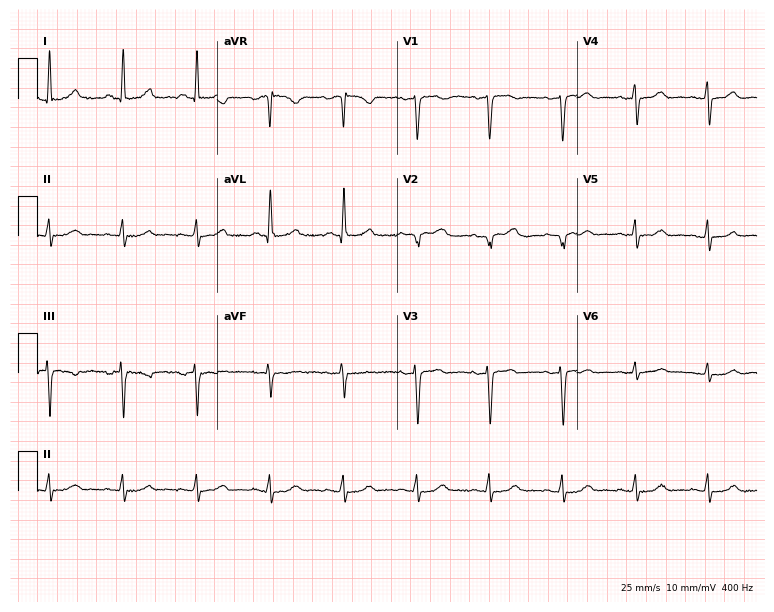
Resting 12-lead electrocardiogram (7.3-second recording at 400 Hz). Patient: a female, 74 years old. None of these six findings is recorded: first-degree AV block, right bundle branch block, left bundle branch block, sinus bradycardia, atrial fibrillation, sinus tachycardia.